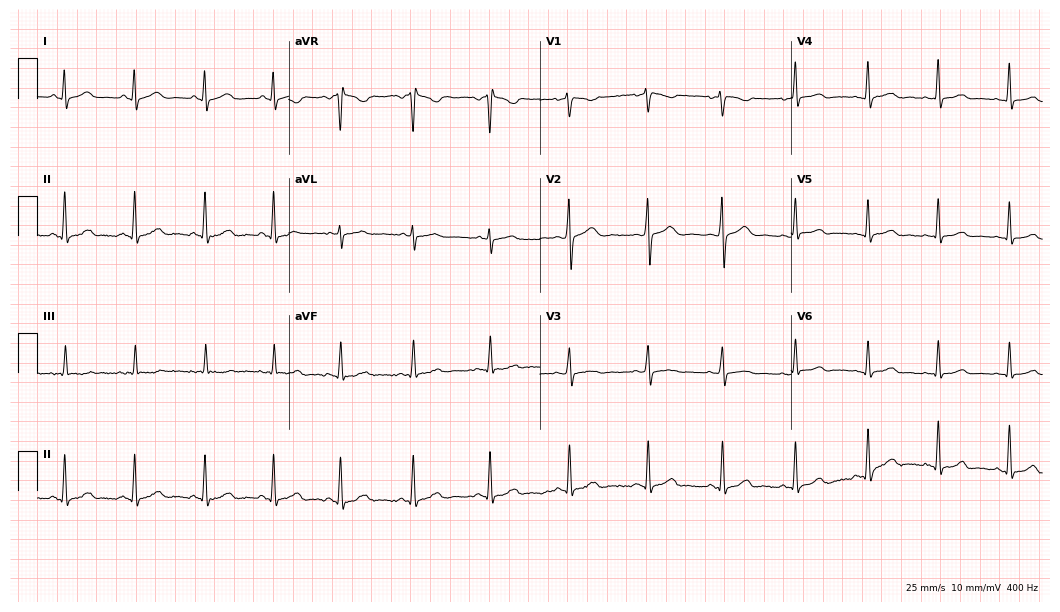
Resting 12-lead electrocardiogram (10.2-second recording at 400 Hz). Patient: a woman, 37 years old. Read as a normal ECG.